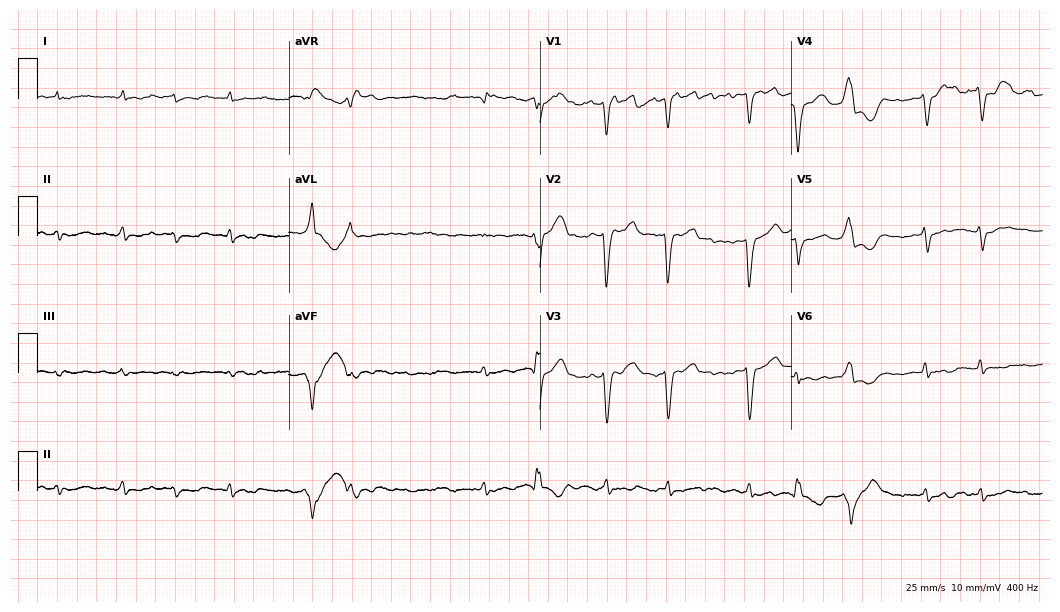
Standard 12-lead ECG recorded from a male patient, 62 years old. The tracing shows atrial fibrillation.